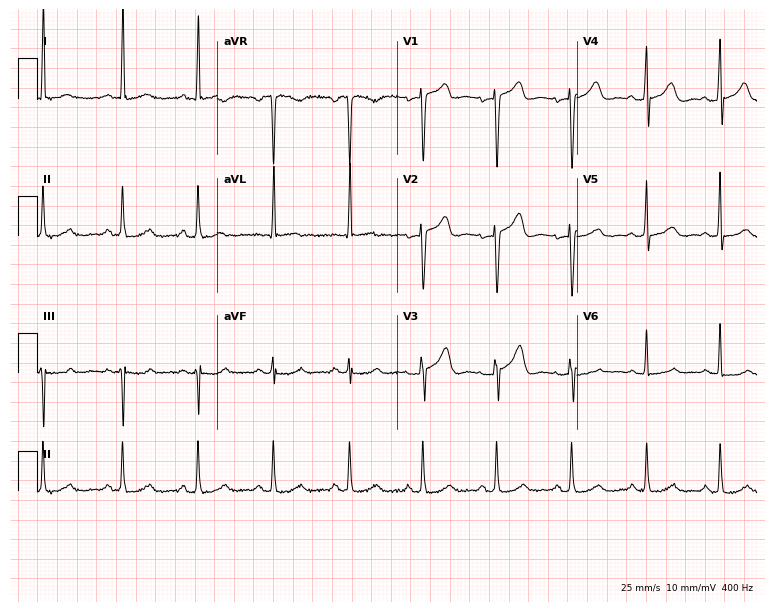
ECG — a female patient, 49 years old. Labelled as a normal ECG.